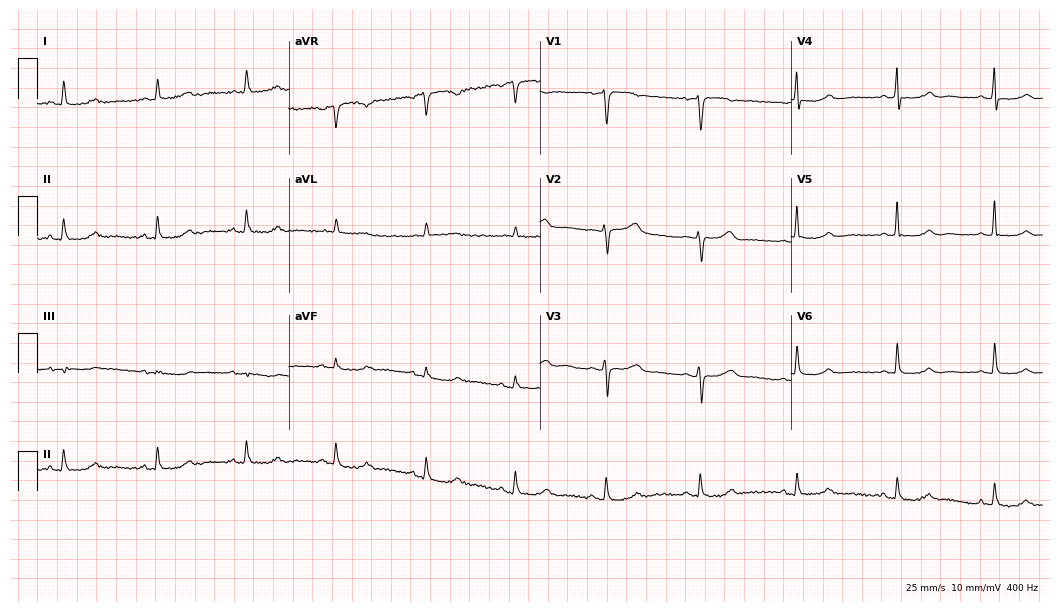
12-lead ECG from a 63-year-old female. Screened for six findings — first-degree AV block, right bundle branch block (RBBB), left bundle branch block (LBBB), sinus bradycardia, atrial fibrillation (AF), sinus tachycardia — none is recorded. Only these six findings were labelled.